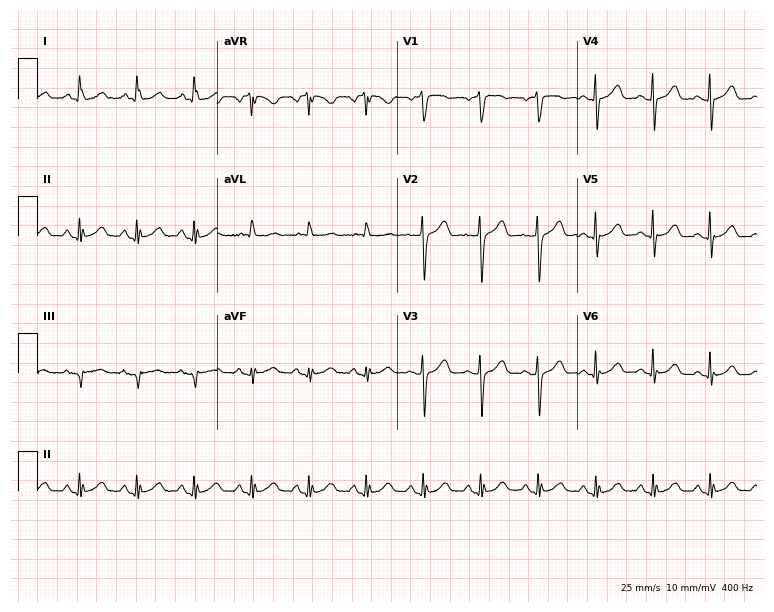
Standard 12-lead ECG recorded from a 63-year-old female patient (7.3-second recording at 400 Hz). The tracing shows sinus tachycardia (a sinus rate of 100 beats per minute or more).